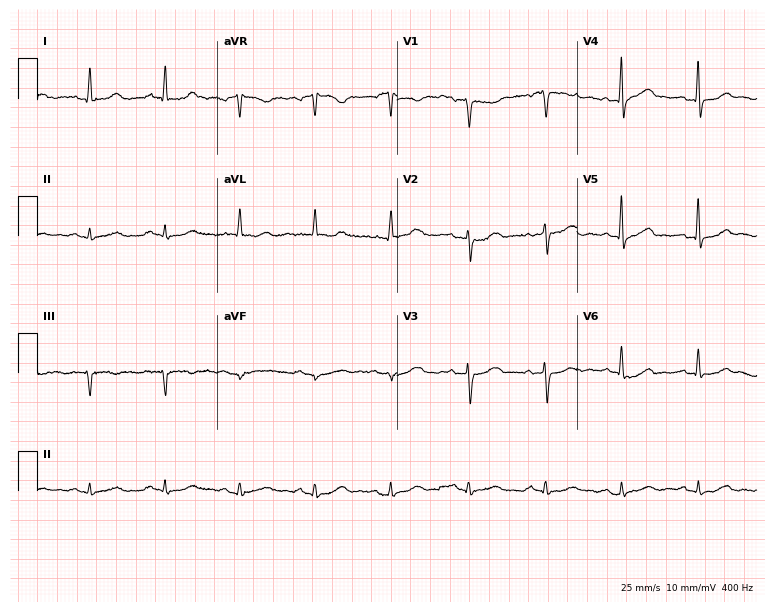
ECG — a 65-year-old woman. Labelled as a normal ECG.